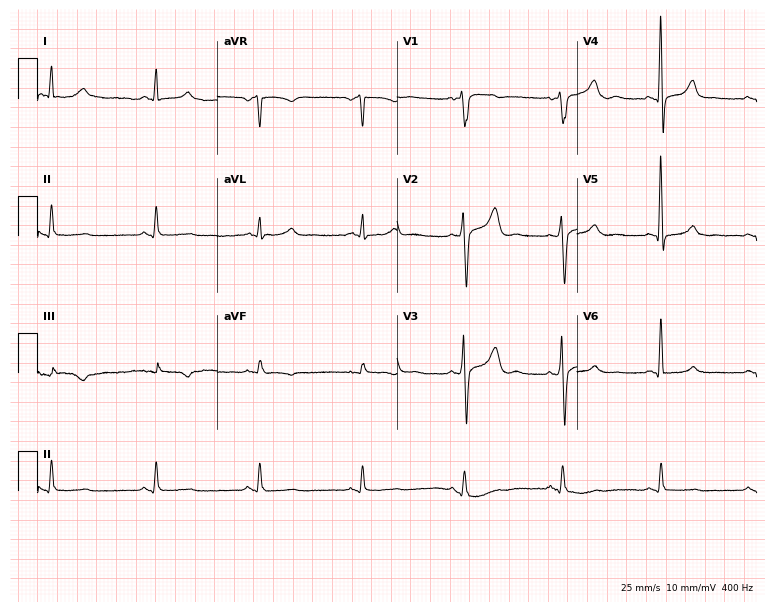
Standard 12-lead ECG recorded from a male, 56 years old (7.3-second recording at 400 Hz). None of these six findings is recorded: first-degree AV block, right bundle branch block, left bundle branch block, sinus bradycardia, atrial fibrillation, sinus tachycardia.